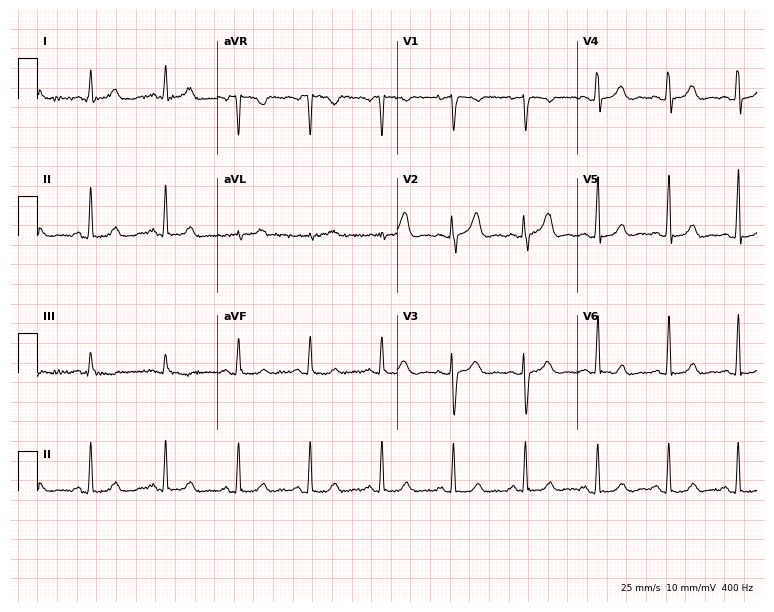
Electrocardiogram (7.3-second recording at 400 Hz), a female patient, 46 years old. Overall reading on record: normal ECG.